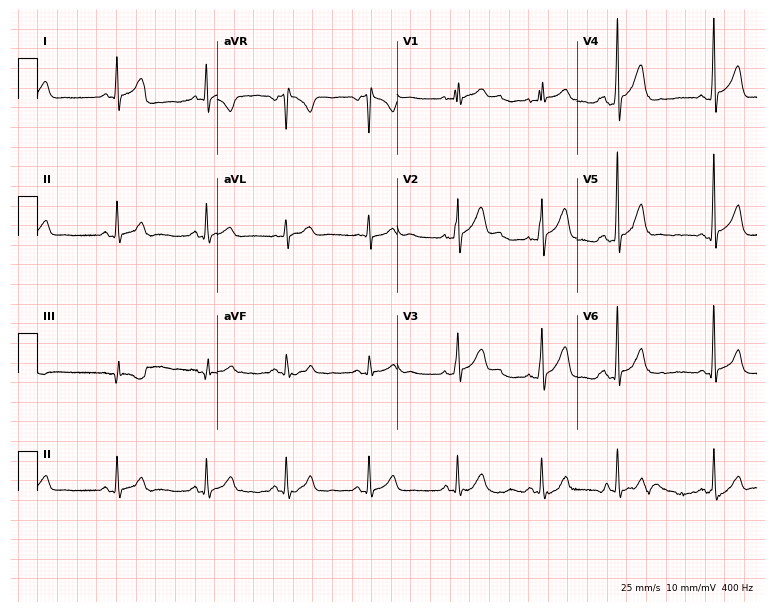
Standard 12-lead ECG recorded from a 46-year-old male. Read as a normal ECG.